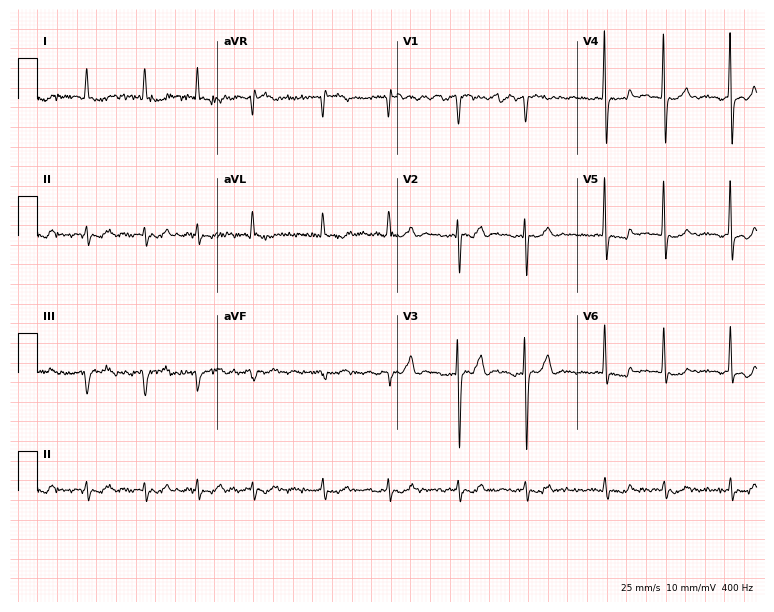
ECG (7.3-second recording at 400 Hz) — a female patient, 53 years old. Findings include atrial fibrillation (AF).